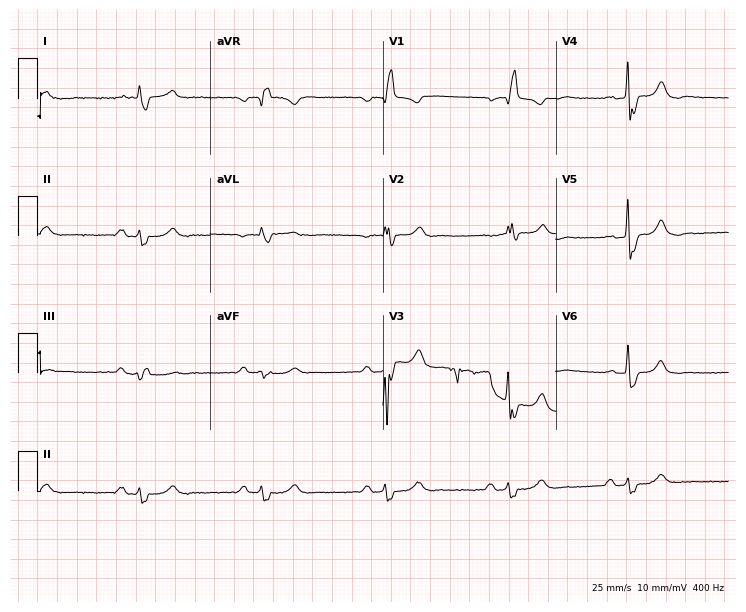
12-lead ECG from a 73-year-old male patient. Findings include right bundle branch block, sinus bradycardia (a sinus rate of 50 beats per minute or less).